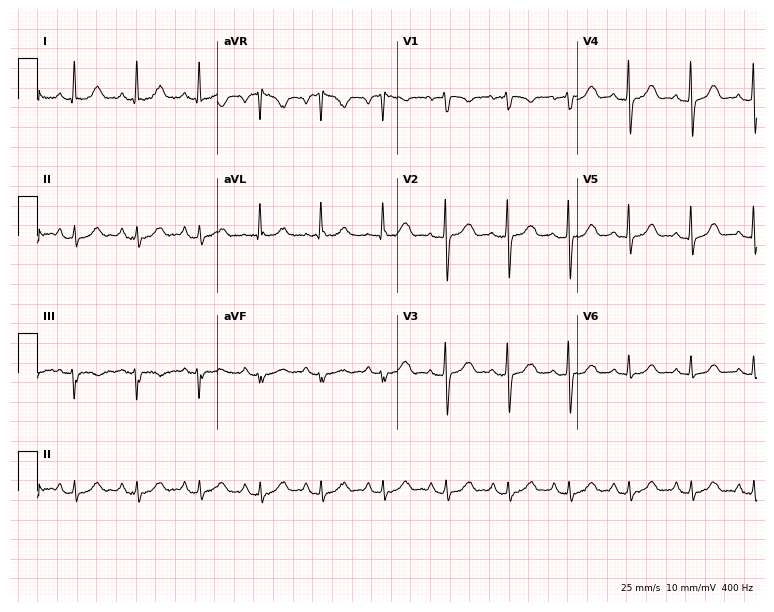
12-lead ECG from a 69-year-old female (7.3-second recording at 400 Hz). Recorded interpretation: within normal limits.